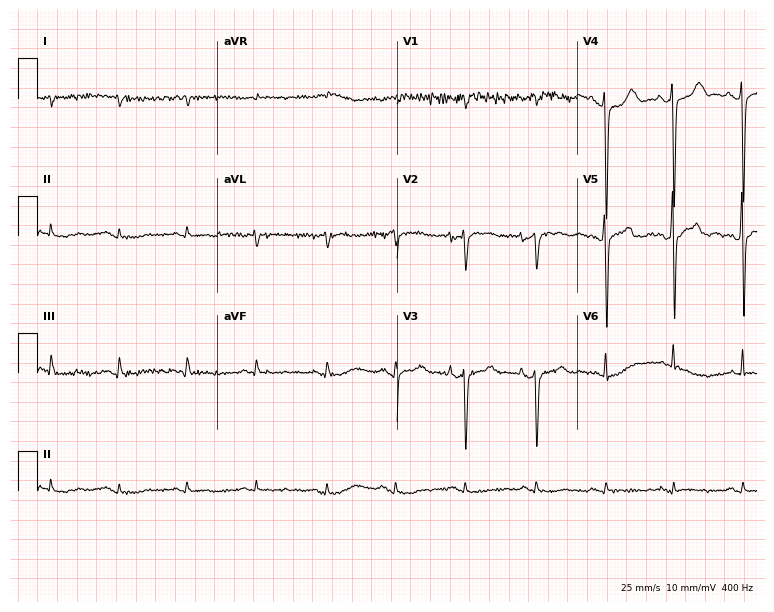
12-lead ECG from a woman, 44 years old (7.3-second recording at 400 Hz). No first-degree AV block, right bundle branch block, left bundle branch block, sinus bradycardia, atrial fibrillation or sinus tachycardia recorded for this tracing.